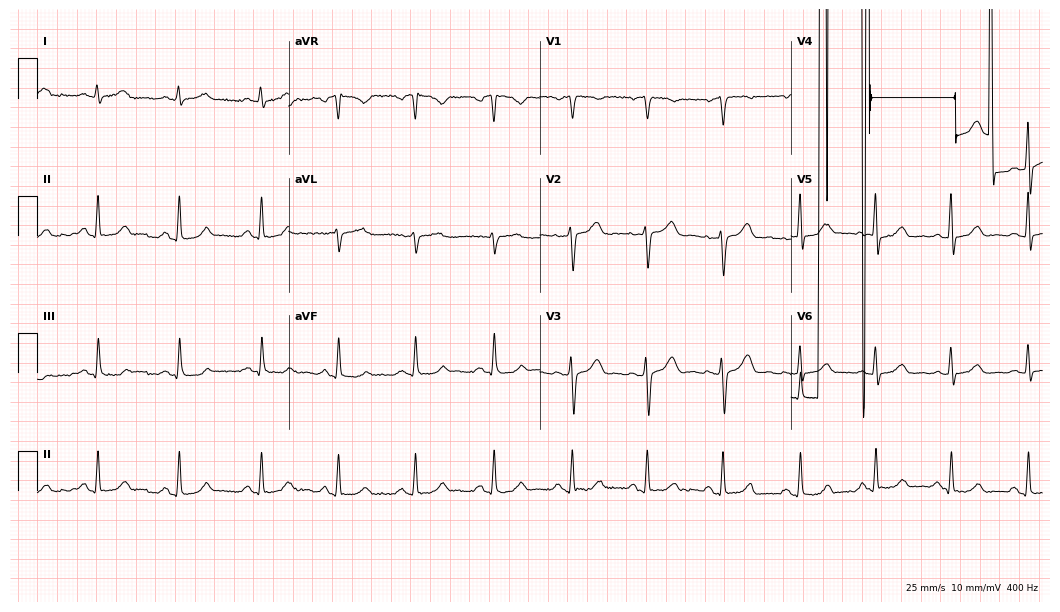
12-lead ECG from a woman, 48 years old (10.2-second recording at 400 Hz). No first-degree AV block, right bundle branch block (RBBB), left bundle branch block (LBBB), sinus bradycardia, atrial fibrillation (AF) or sinus tachycardia recorded for this tracing. Other findings, if any, are not listed.